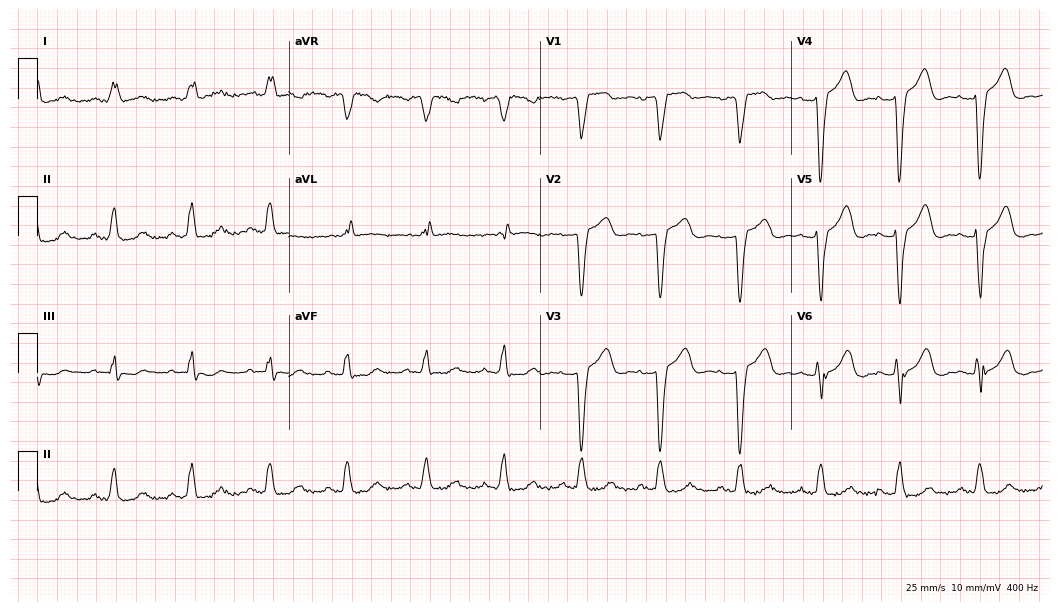
12-lead ECG from an 83-year-old female. Shows left bundle branch block.